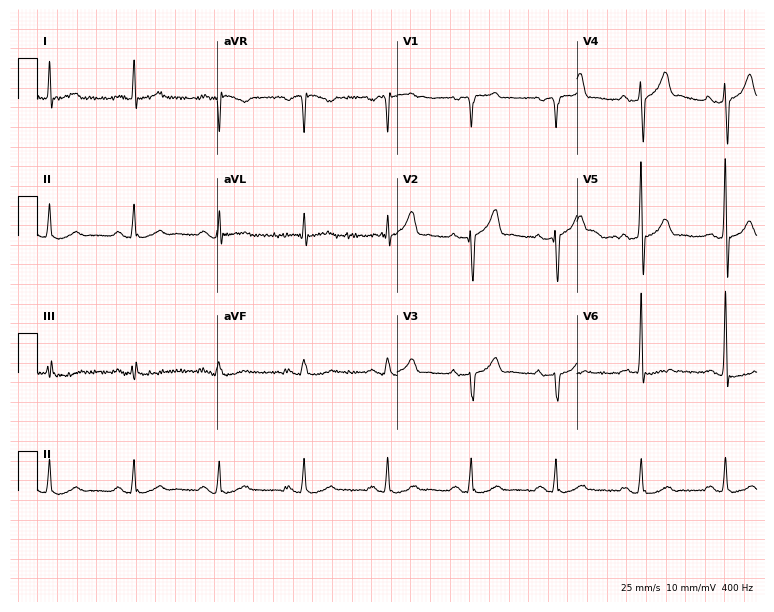
ECG (7.3-second recording at 400 Hz) — a 74-year-old male patient. Labelled as a normal ECG.